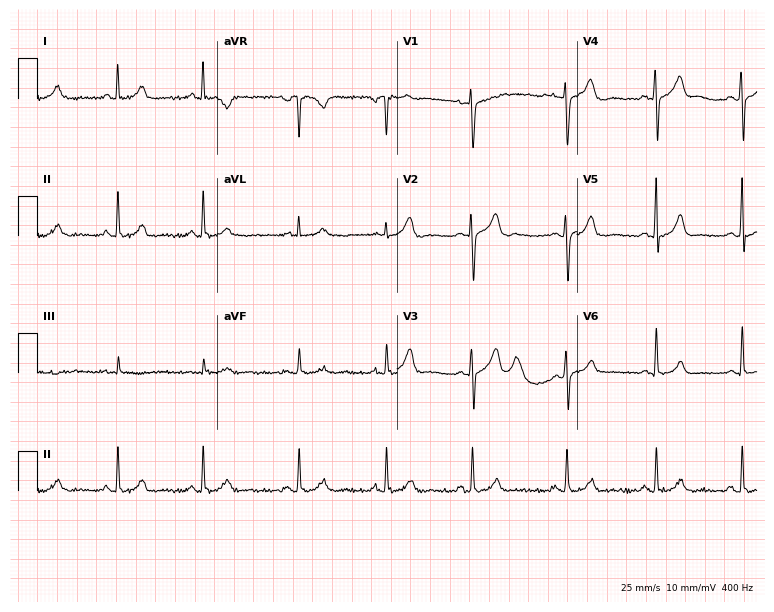
12-lead ECG from a woman, 30 years old (7.3-second recording at 400 Hz). Recorded interpretation: within normal limits.